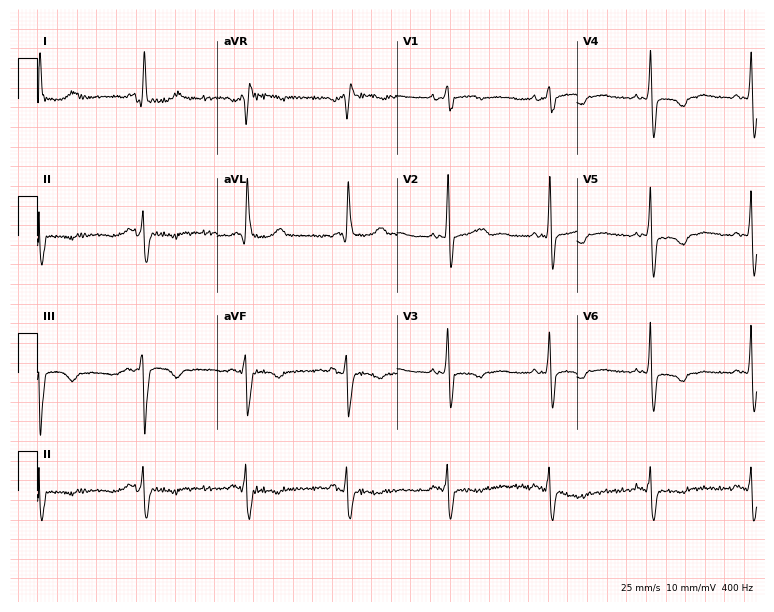
Standard 12-lead ECG recorded from a woman, 73 years old (7.3-second recording at 400 Hz). None of these six findings is recorded: first-degree AV block, right bundle branch block, left bundle branch block, sinus bradycardia, atrial fibrillation, sinus tachycardia.